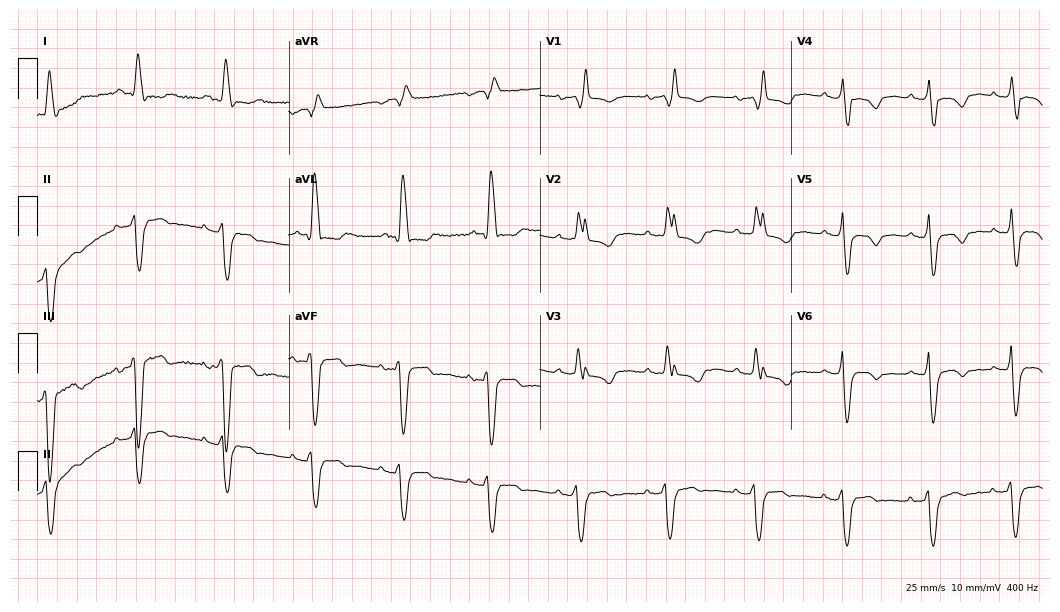
12-lead ECG from a female, 71 years old. Shows right bundle branch block.